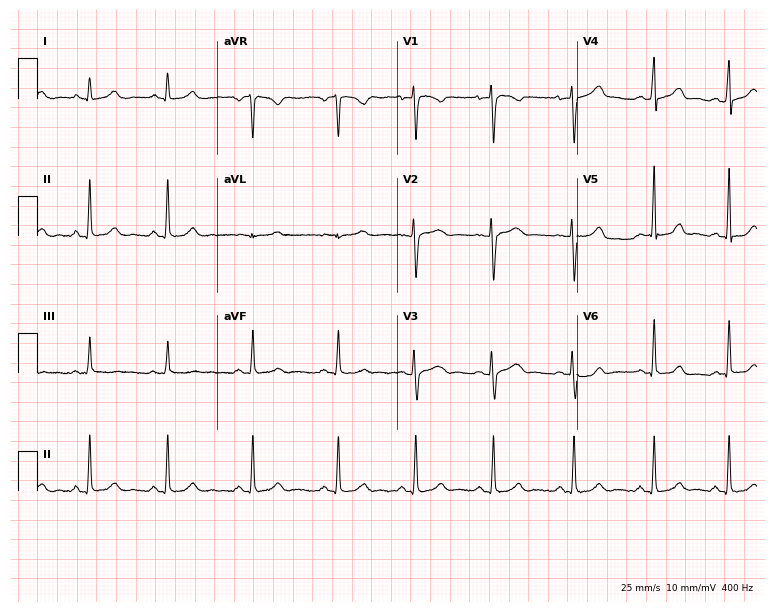
12-lead ECG from a female patient, 28 years old (7.3-second recording at 400 Hz). Recorded interpretation: within normal limits.